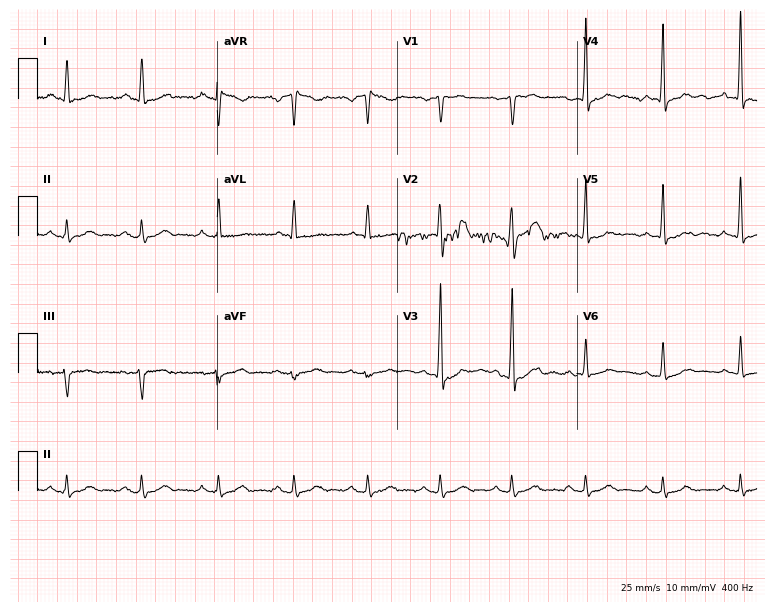
Resting 12-lead electrocardiogram. Patient: a 48-year-old male. None of these six findings is recorded: first-degree AV block, right bundle branch block, left bundle branch block, sinus bradycardia, atrial fibrillation, sinus tachycardia.